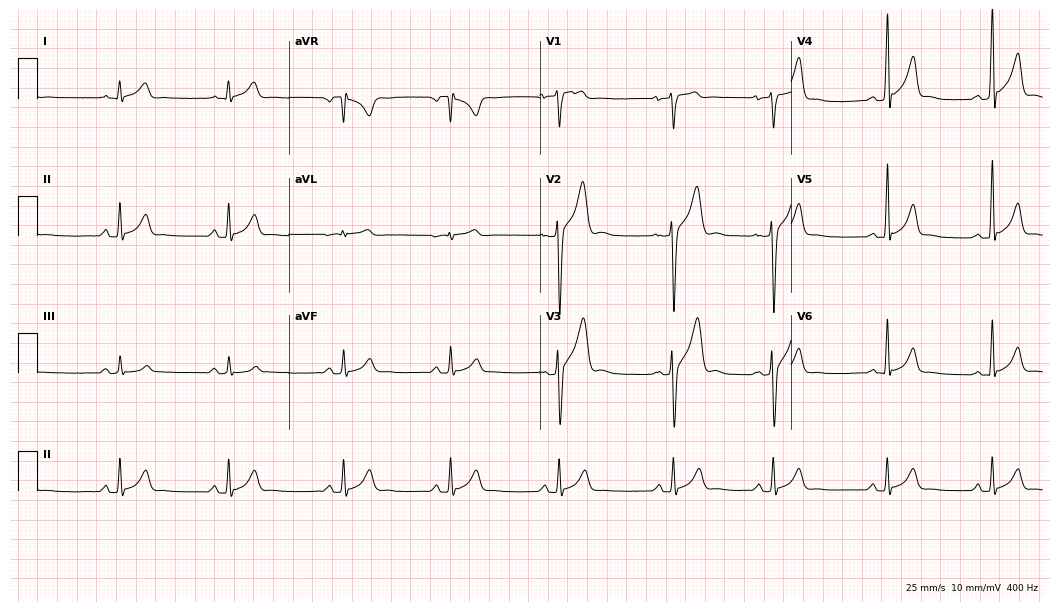
Resting 12-lead electrocardiogram. Patient: an 18-year-old male. None of these six findings is recorded: first-degree AV block, right bundle branch block, left bundle branch block, sinus bradycardia, atrial fibrillation, sinus tachycardia.